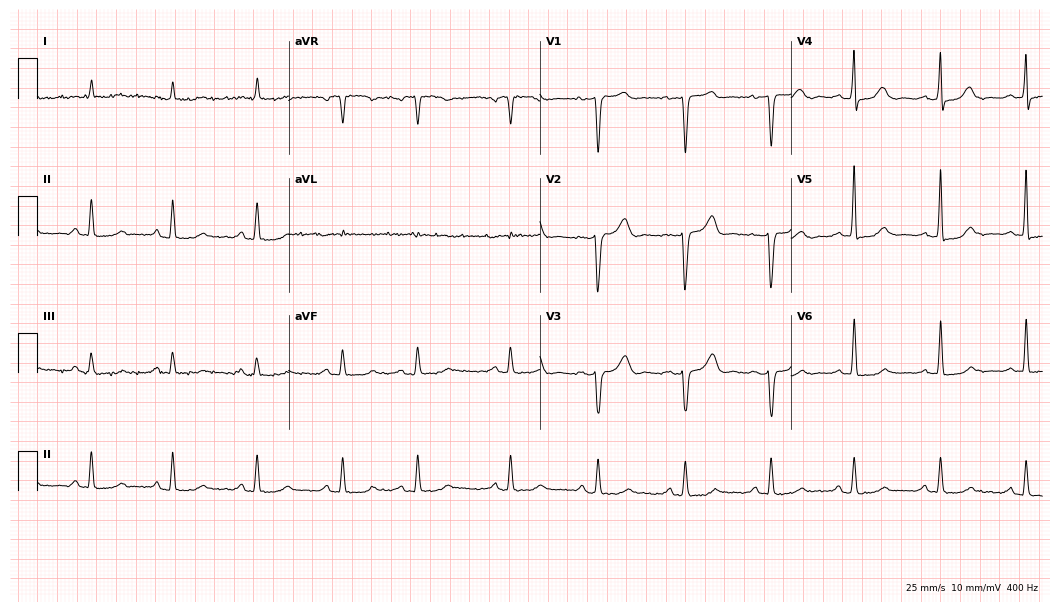
Electrocardiogram (10.2-second recording at 400 Hz), an 82-year-old female. Overall reading on record: normal ECG.